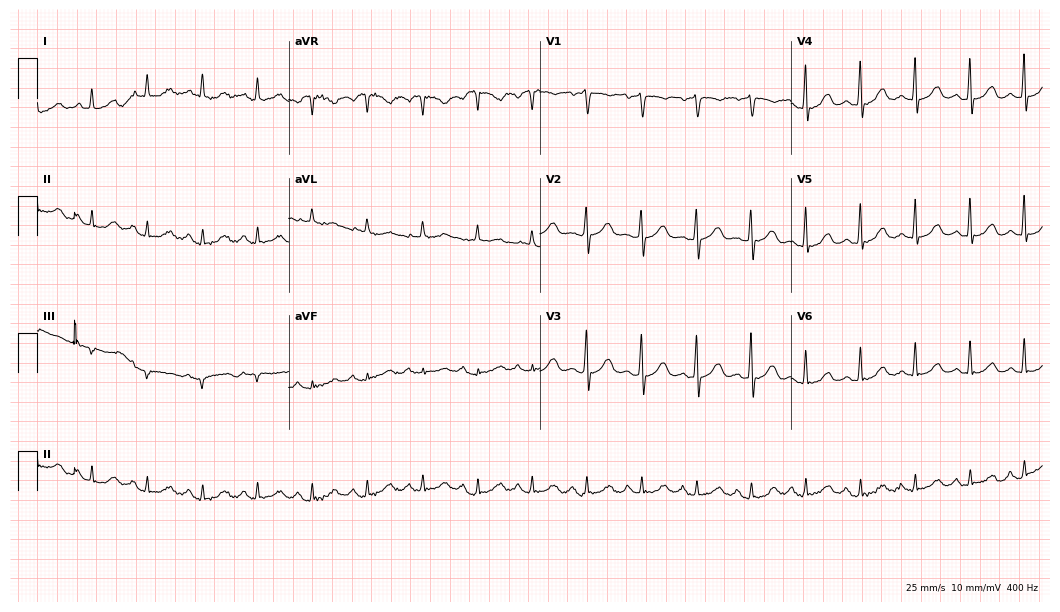
12-lead ECG (10.2-second recording at 400 Hz) from a 75-year-old female. Findings include sinus tachycardia (a sinus rate of 100 beats per minute or more).